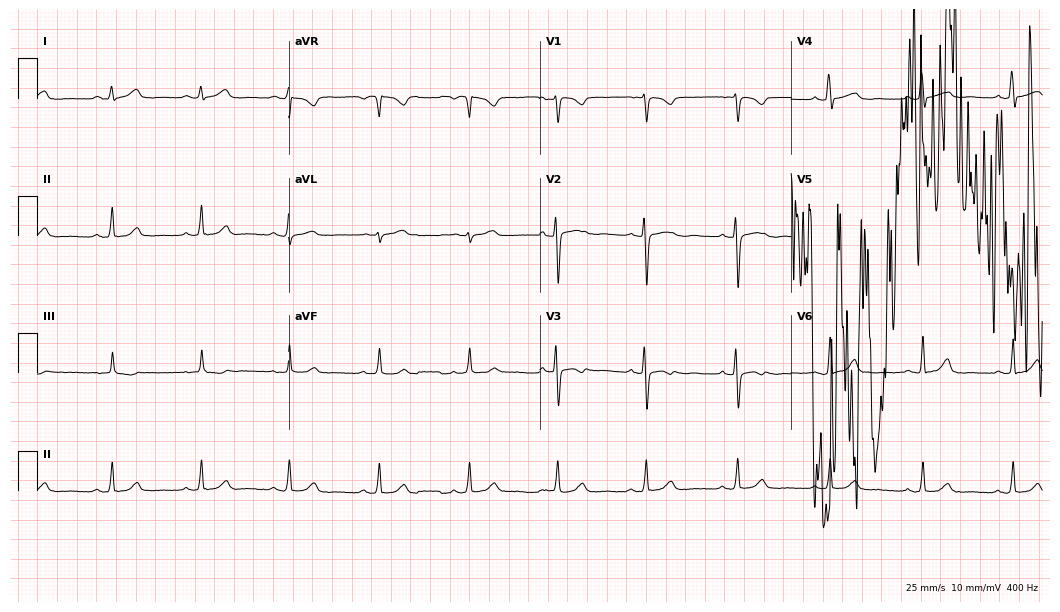
12-lead ECG from a female patient, 31 years old (10.2-second recording at 400 Hz). No first-degree AV block, right bundle branch block, left bundle branch block, sinus bradycardia, atrial fibrillation or sinus tachycardia recorded for this tracing.